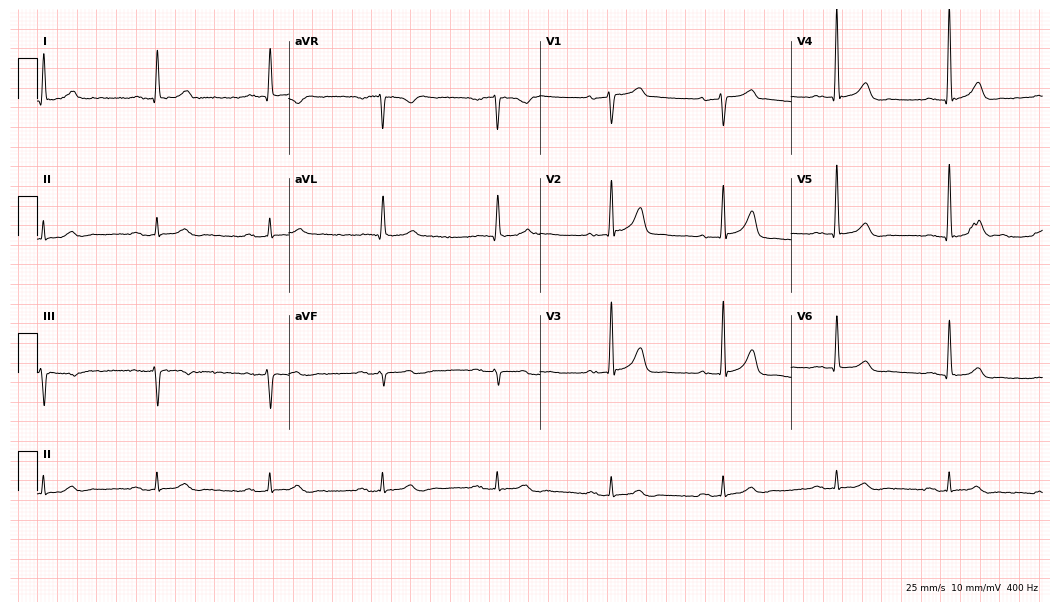
Standard 12-lead ECG recorded from a 66-year-old male (10.2-second recording at 400 Hz). None of these six findings is recorded: first-degree AV block, right bundle branch block (RBBB), left bundle branch block (LBBB), sinus bradycardia, atrial fibrillation (AF), sinus tachycardia. Only these six findings were labelled.